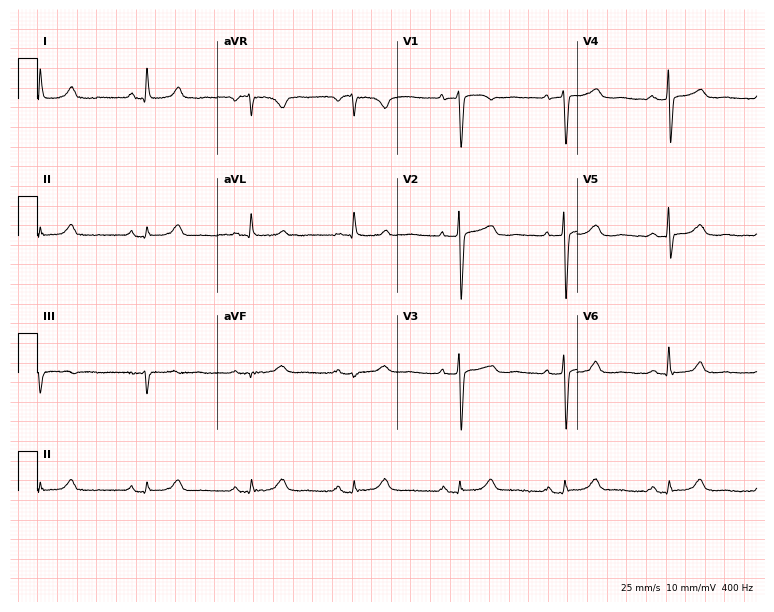
12-lead ECG from a woman, 68 years old. Recorded interpretation: within normal limits.